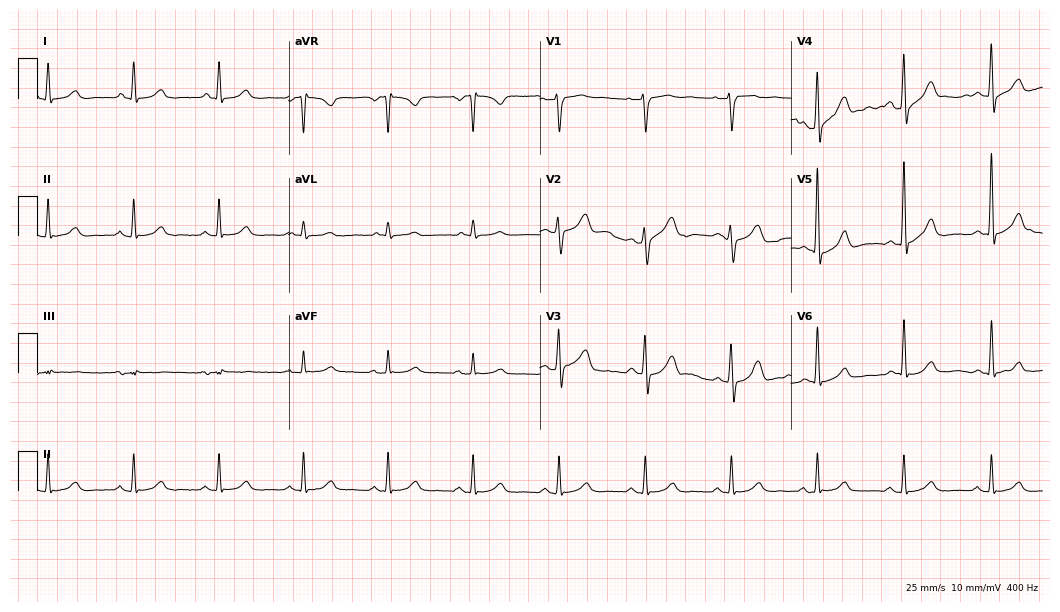
Resting 12-lead electrocardiogram (10.2-second recording at 400 Hz). Patient: a male, 65 years old. Read as a normal ECG.